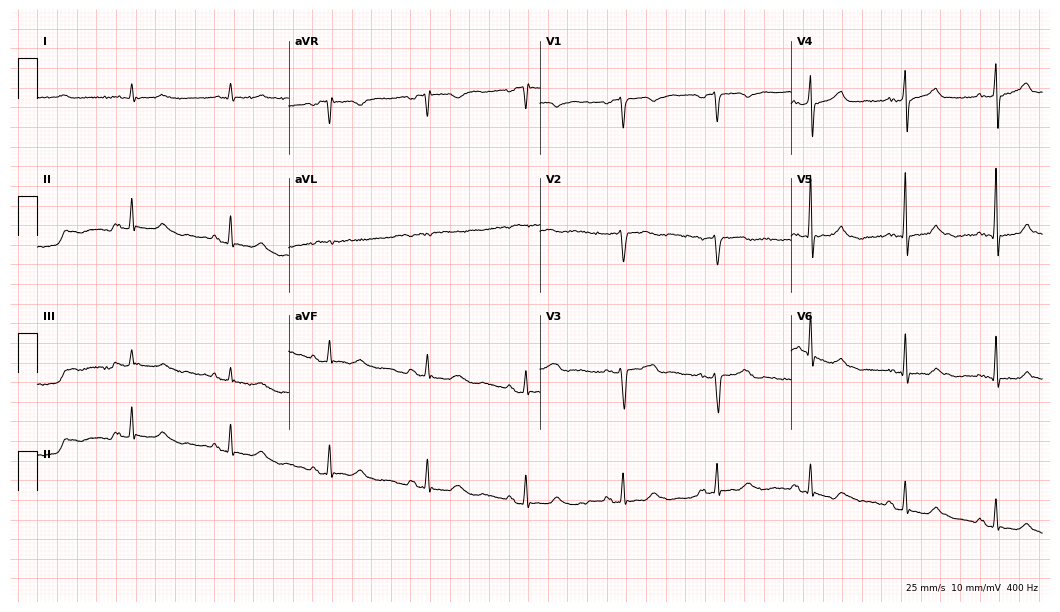
Electrocardiogram (10.2-second recording at 400 Hz), a male, 64 years old. Of the six screened findings (first-degree AV block, right bundle branch block, left bundle branch block, sinus bradycardia, atrial fibrillation, sinus tachycardia), none is recorded.